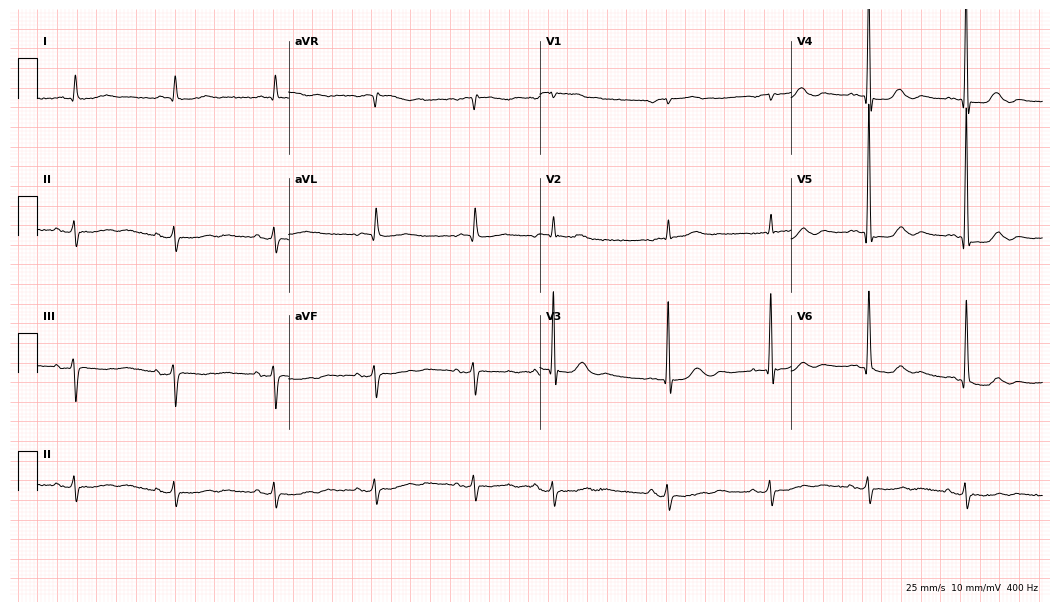
ECG — an 85-year-old male. Screened for six findings — first-degree AV block, right bundle branch block (RBBB), left bundle branch block (LBBB), sinus bradycardia, atrial fibrillation (AF), sinus tachycardia — none is recorded.